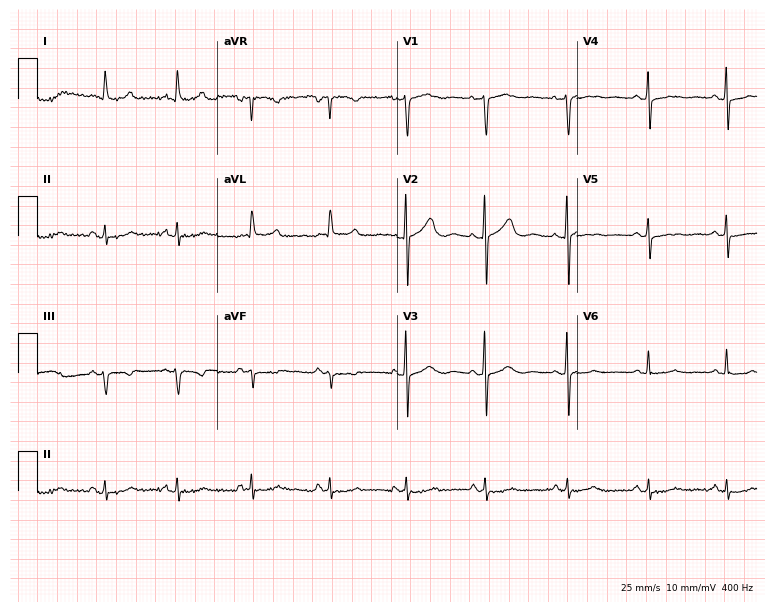
Electrocardiogram, an 85-year-old female. Of the six screened findings (first-degree AV block, right bundle branch block, left bundle branch block, sinus bradycardia, atrial fibrillation, sinus tachycardia), none is recorded. Other findings, if any, are not listed.